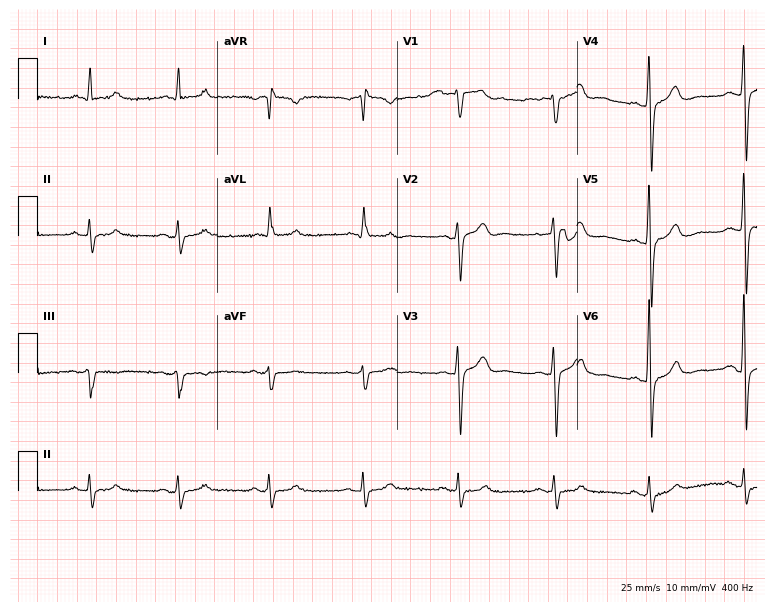
12-lead ECG (7.3-second recording at 400 Hz) from a 69-year-old male. Screened for six findings — first-degree AV block, right bundle branch block (RBBB), left bundle branch block (LBBB), sinus bradycardia, atrial fibrillation (AF), sinus tachycardia — none is recorded. Findings outside these six are not listed.